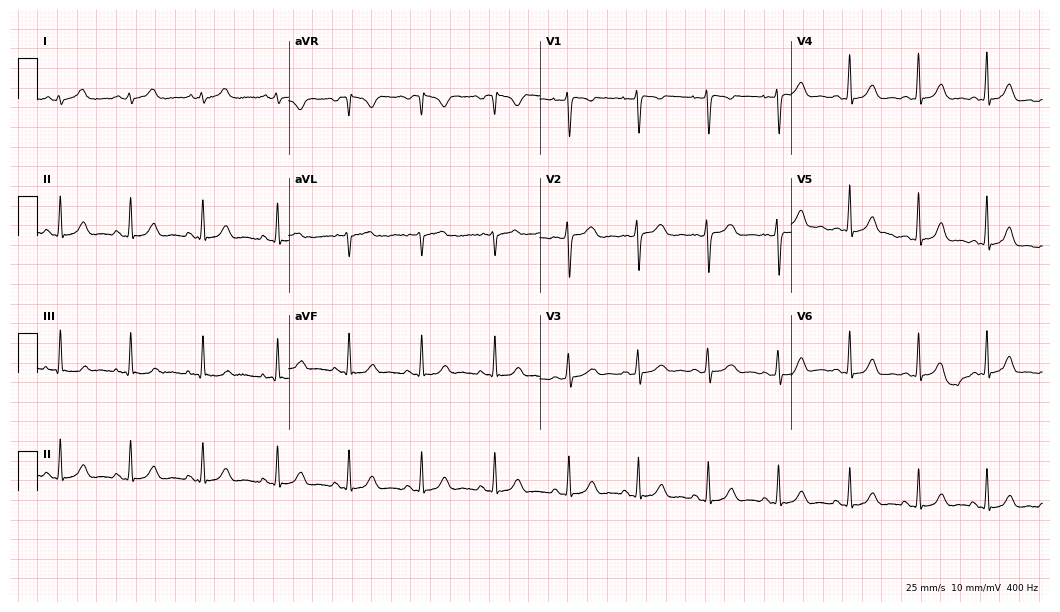
Standard 12-lead ECG recorded from a 26-year-old female patient. Read as a normal ECG.